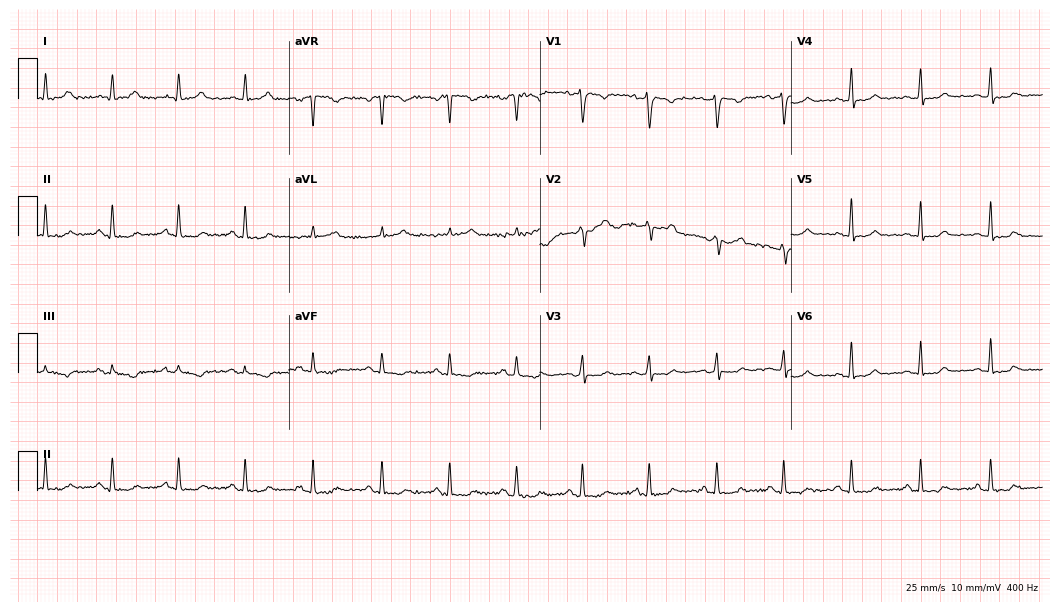
Standard 12-lead ECG recorded from a 22-year-old female (10.2-second recording at 400 Hz). Read as a normal ECG.